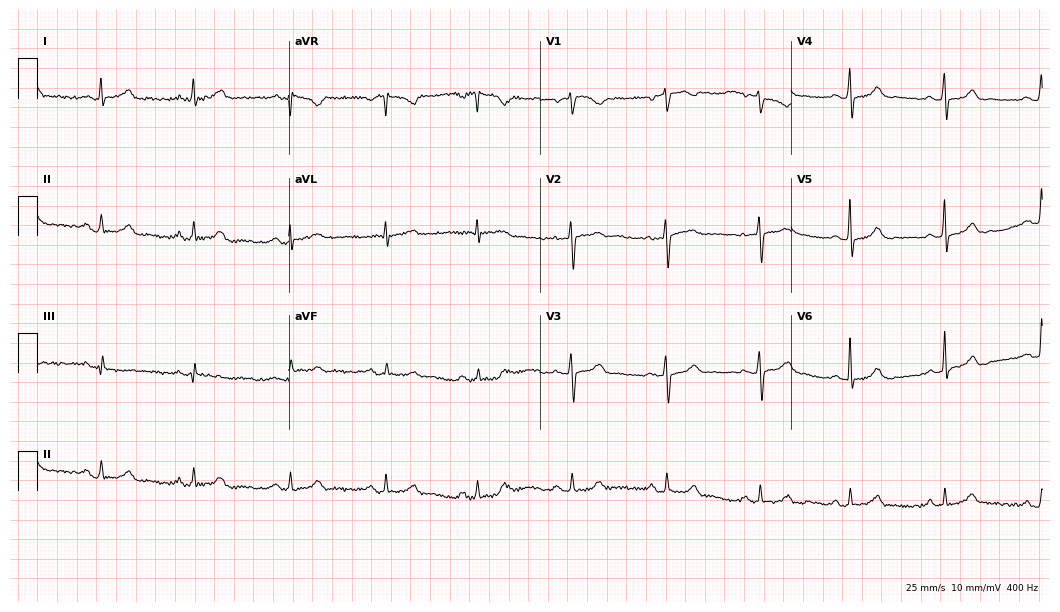
12-lead ECG (10.2-second recording at 400 Hz) from a 46-year-old female patient. Screened for six findings — first-degree AV block, right bundle branch block (RBBB), left bundle branch block (LBBB), sinus bradycardia, atrial fibrillation (AF), sinus tachycardia — none is recorded.